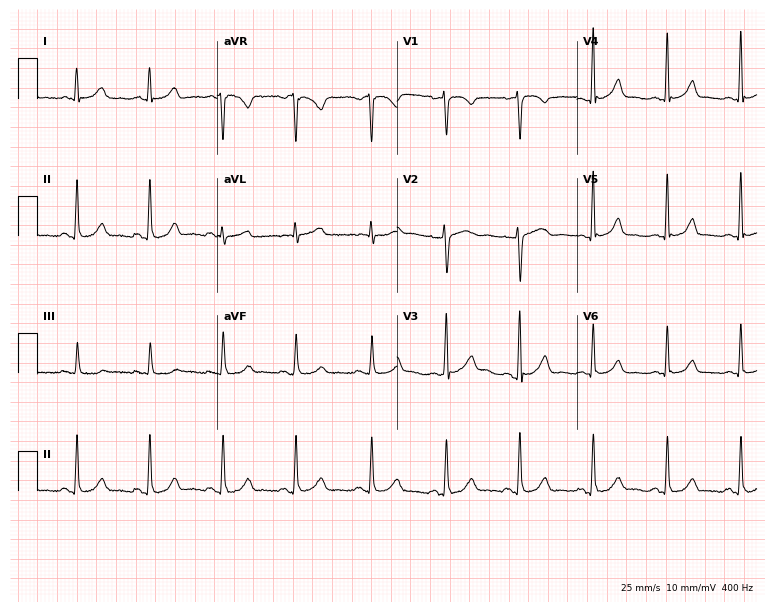
Resting 12-lead electrocardiogram (7.3-second recording at 400 Hz). Patient: a 38-year-old female. Read as a normal ECG.